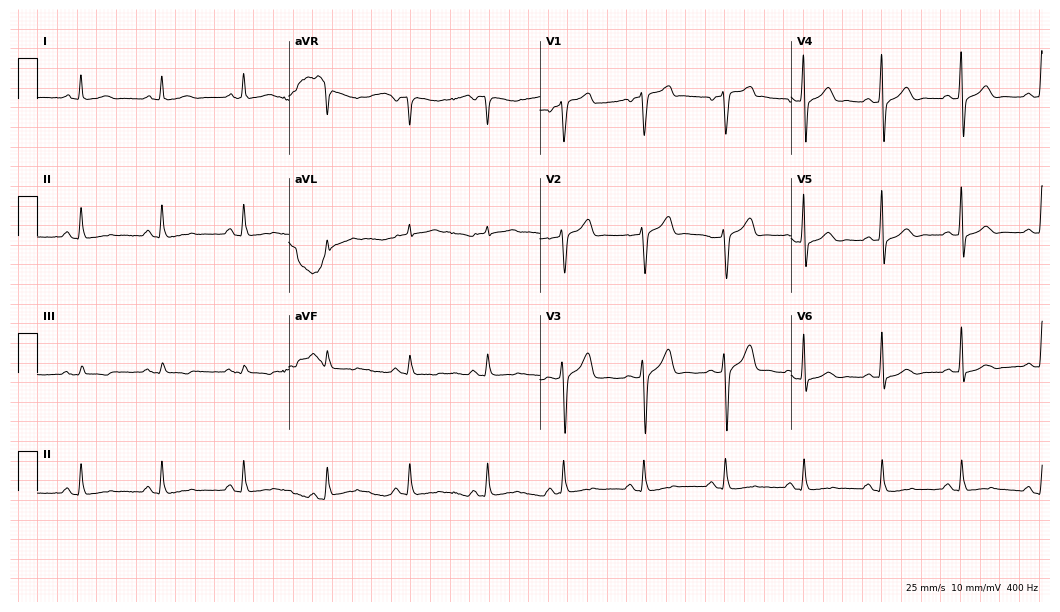
ECG (10.2-second recording at 400 Hz) — a 47-year-old male patient. Screened for six findings — first-degree AV block, right bundle branch block, left bundle branch block, sinus bradycardia, atrial fibrillation, sinus tachycardia — none is recorded. Findings outside these six are not listed.